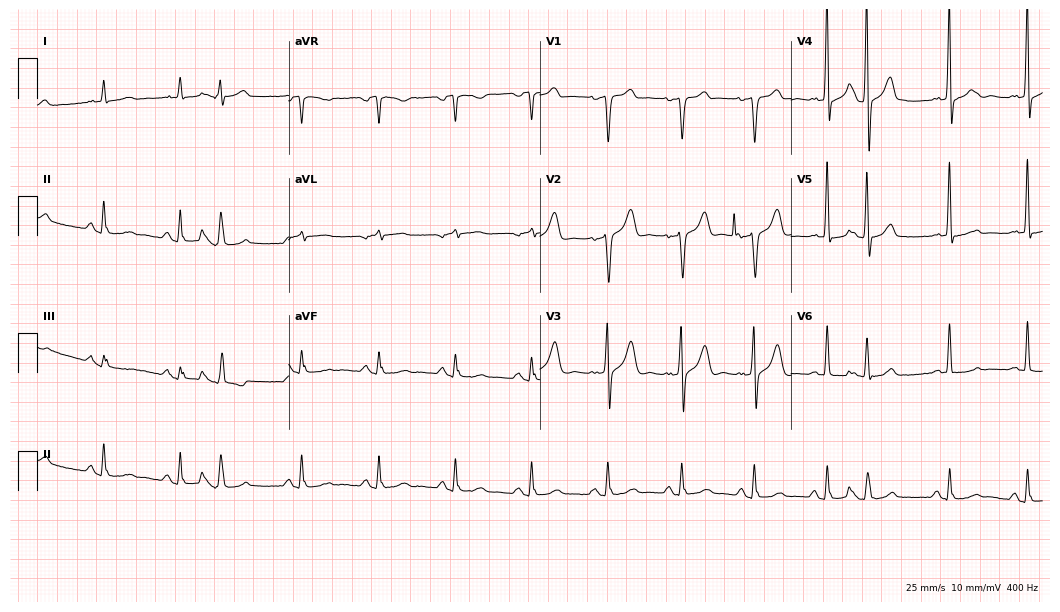
Resting 12-lead electrocardiogram (10.2-second recording at 400 Hz). Patient: a 77-year-old male. None of these six findings is recorded: first-degree AV block, right bundle branch block, left bundle branch block, sinus bradycardia, atrial fibrillation, sinus tachycardia. Findings outside these six are not listed.